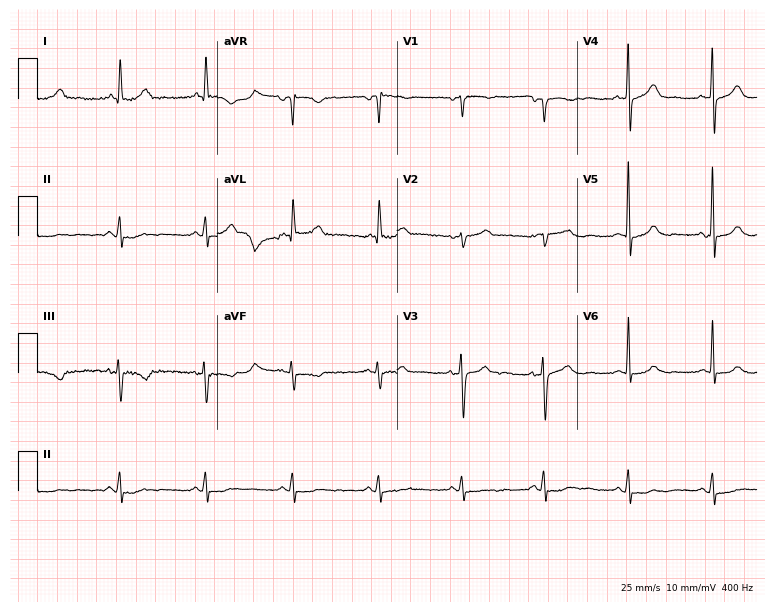
12-lead ECG from a 65-year-old female patient. No first-degree AV block, right bundle branch block, left bundle branch block, sinus bradycardia, atrial fibrillation or sinus tachycardia recorded for this tracing.